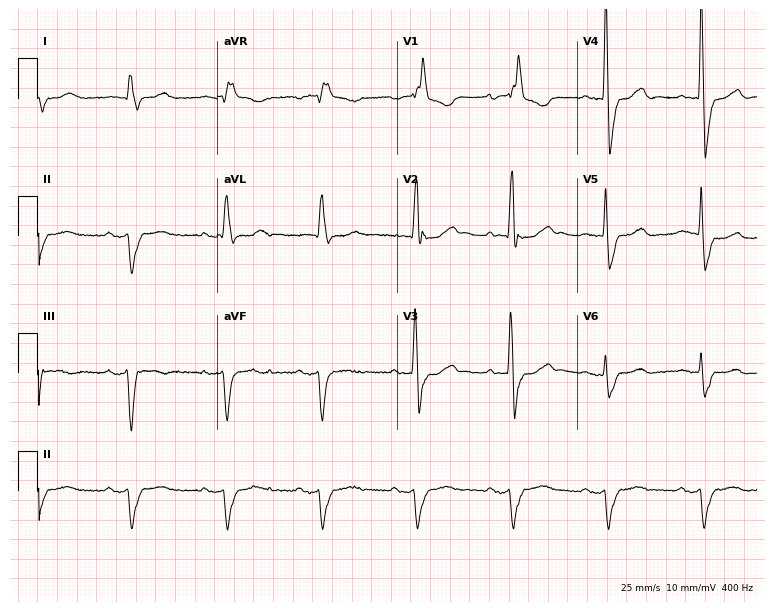
Electrocardiogram, an 80-year-old male. Interpretation includes right bundle branch block.